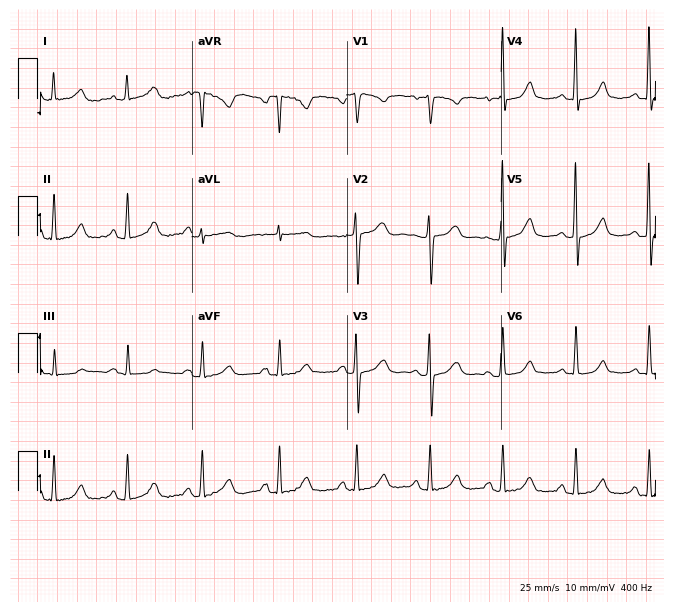
Resting 12-lead electrocardiogram. Patient: a female, 52 years old. None of these six findings is recorded: first-degree AV block, right bundle branch block, left bundle branch block, sinus bradycardia, atrial fibrillation, sinus tachycardia.